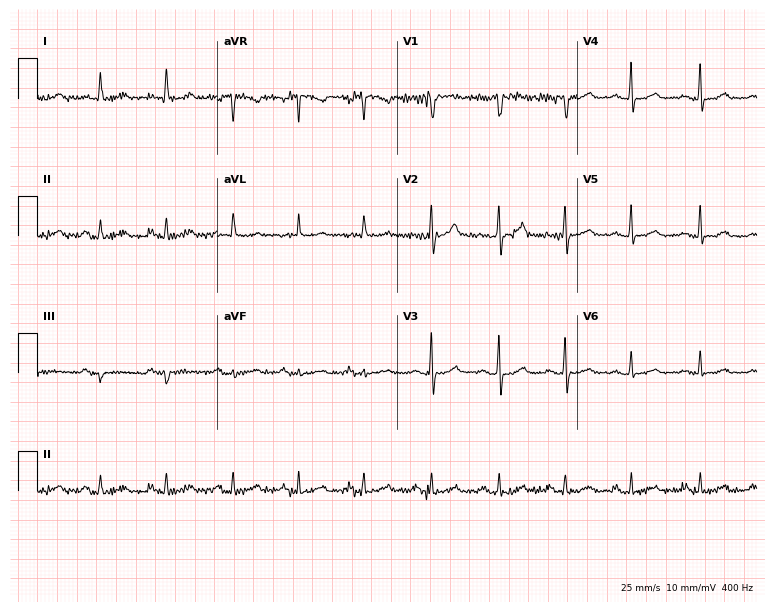
Electrocardiogram (7.3-second recording at 400 Hz), a female, 64 years old. Overall reading on record: normal ECG.